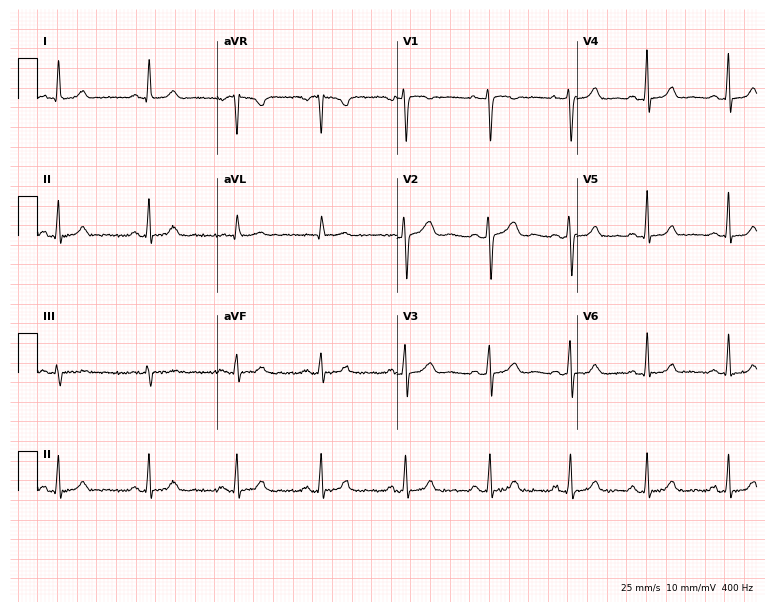
12-lead ECG from a woman, 24 years old. No first-degree AV block, right bundle branch block (RBBB), left bundle branch block (LBBB), sinus bradycardia, atrial fibrillation (AF) or sinus tachycardia recorded for this tracing. Only these six findings were labelled.